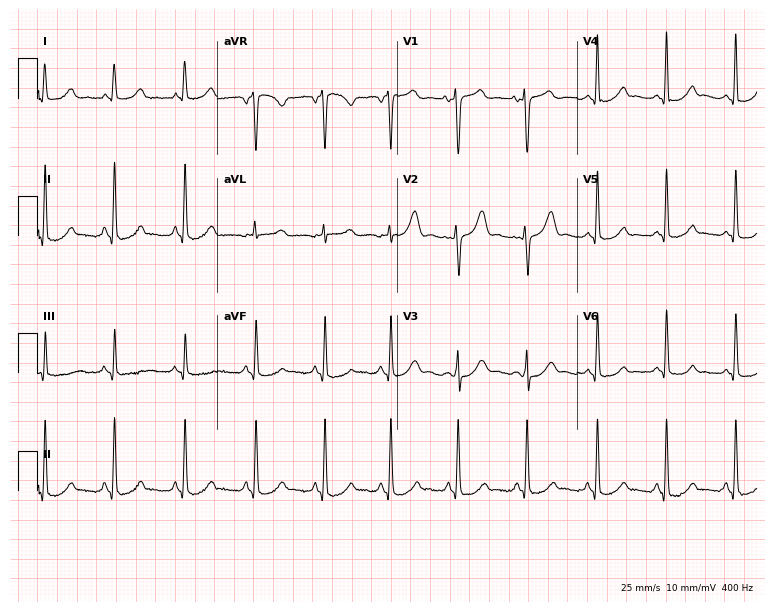
Standard 12-lead ECG recorded from a woman, 28 years old. Read as a normal ECG.